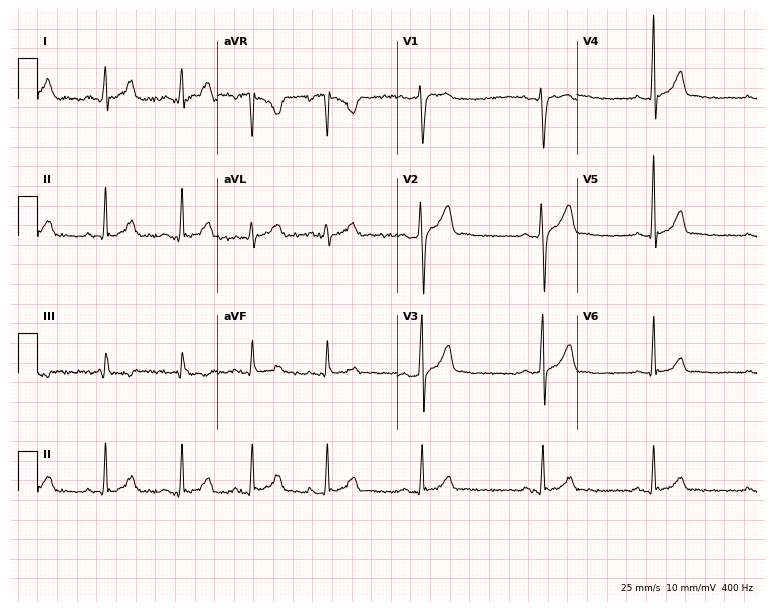
ECG (7.3-second recording at 400 Hz) — a man, 30 years old. Screened for six findings — first-degree AV block, right bundle branch block (RBBB), left bundle branch block (LBBB), sinus bradycardia, atrial fibrillation (AF), sinus tachycardia — none is recorded. Only these six findings were labelled.